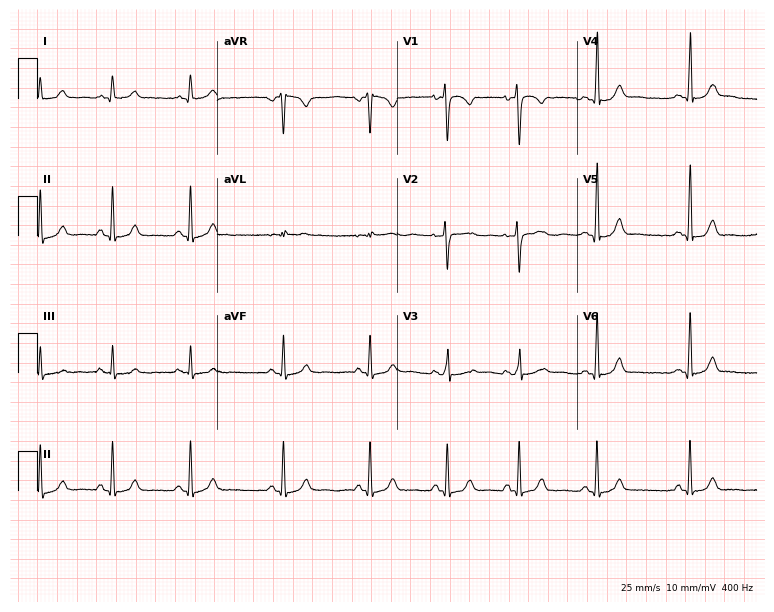
12-lead ECG from a 27-year-old woman. Recorded interpretation: within normal limits.